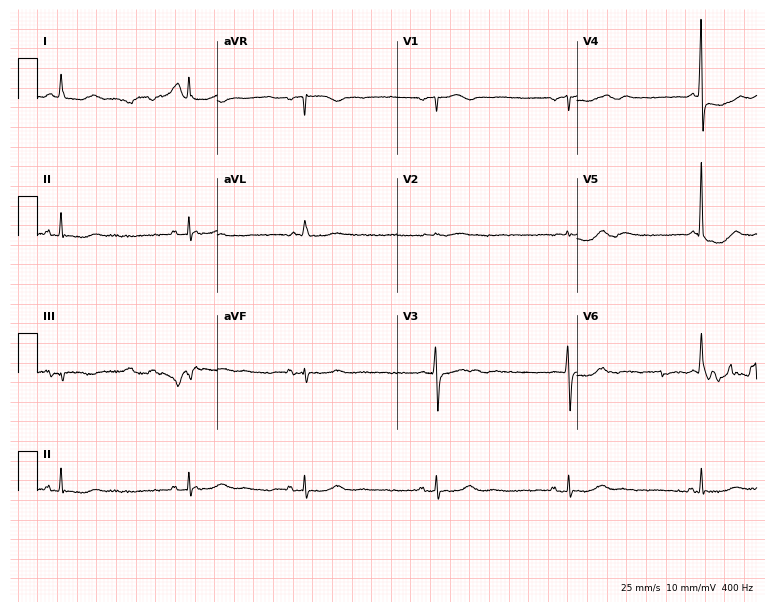
12-lead ECG from a female patient, 67 years old (7.3-second recording at 400 Hz). No first-degree AV block, right bundle branch block, left bundle branch block, sinus bradycardia, atrial fibrillation or sinus tachycardia recorded for this tracing.